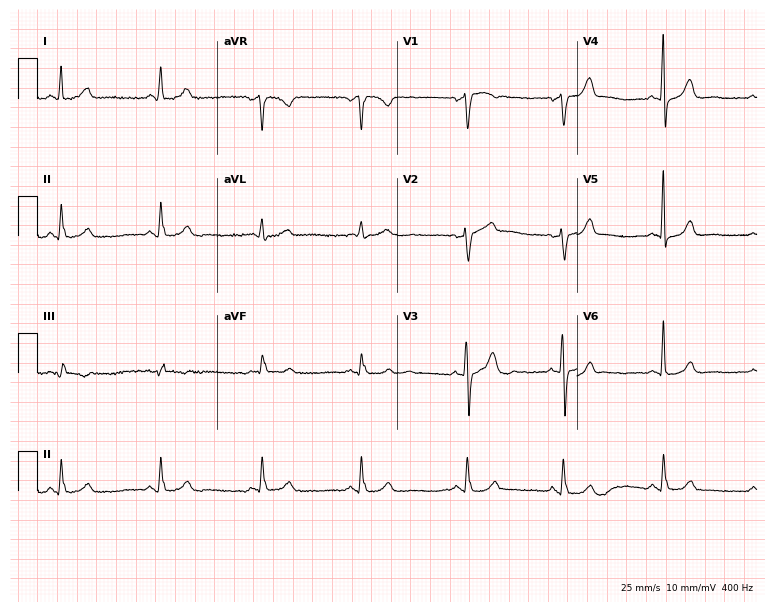
Resting 12-lead electrocardiogram (7.3-second recording at 400 Hz). Patient: a female, 60 years old. None of these six findings is recorded: first-degree AV block, right bundle branch block (RBBB), left bundle branch block (LBBB), sinus bradycardia, atrial fibrillation (AF), sinus tachycardia. Findings outside these six are not listed.